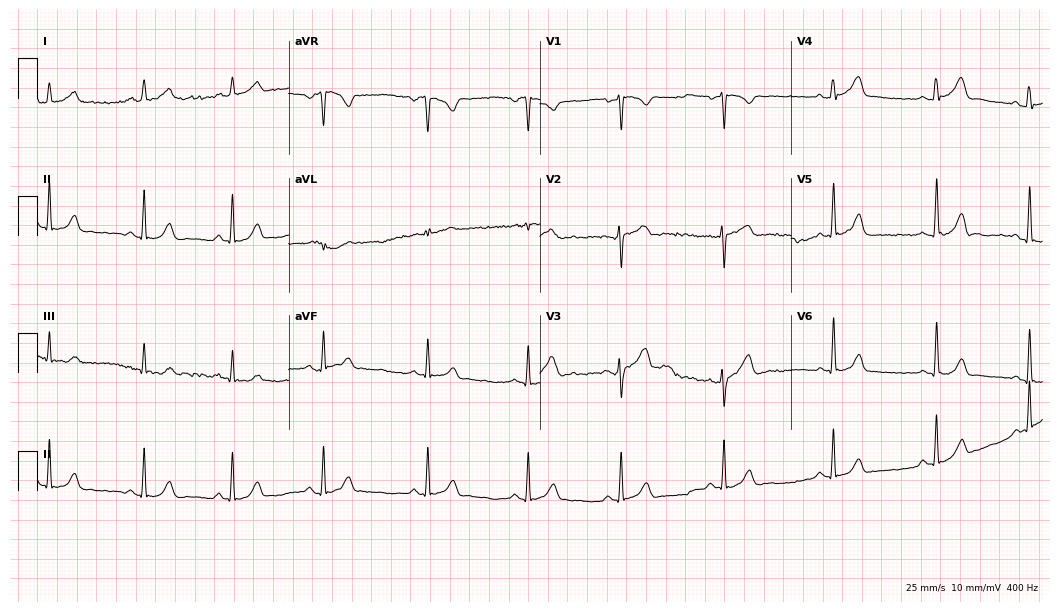
12-lead ECG from a female patient, 24 years old. Recorded interpretation: within normal limits.